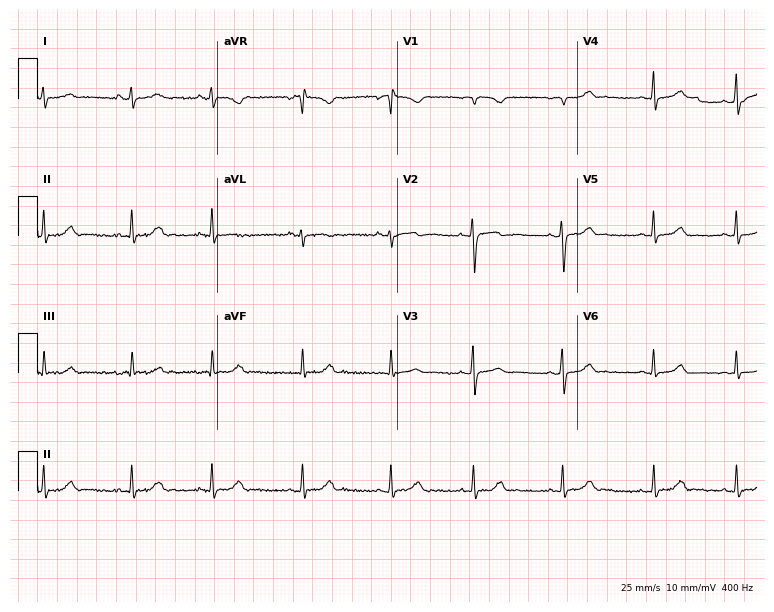
ECG — a woman, 19 years old. Labelled as a normal ECG.